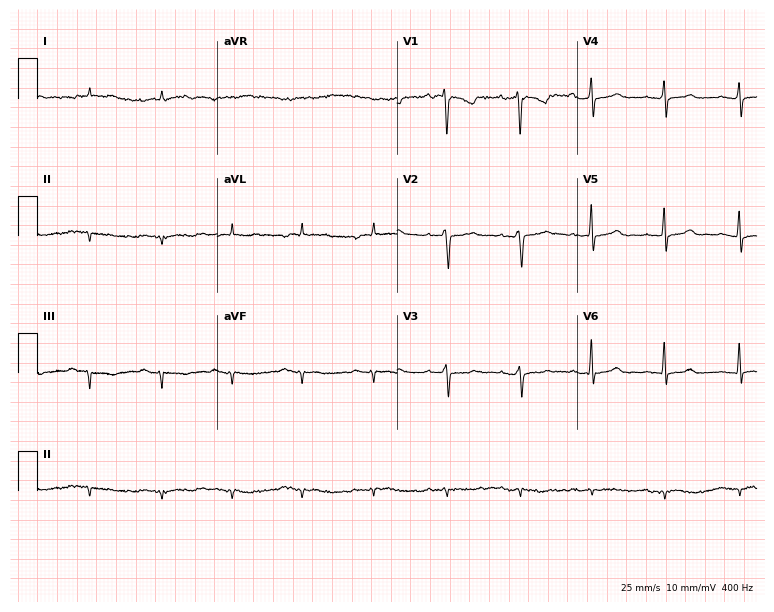
Electrocardiogram, a woman, 40 years old. Of the six screened findings (first-degree AV block, right bundle branch block, left bundle branch block, sinus bradycardia, atrial fibrillation, sinus tachycardia), none is recorded. Only these six findings were labelled.